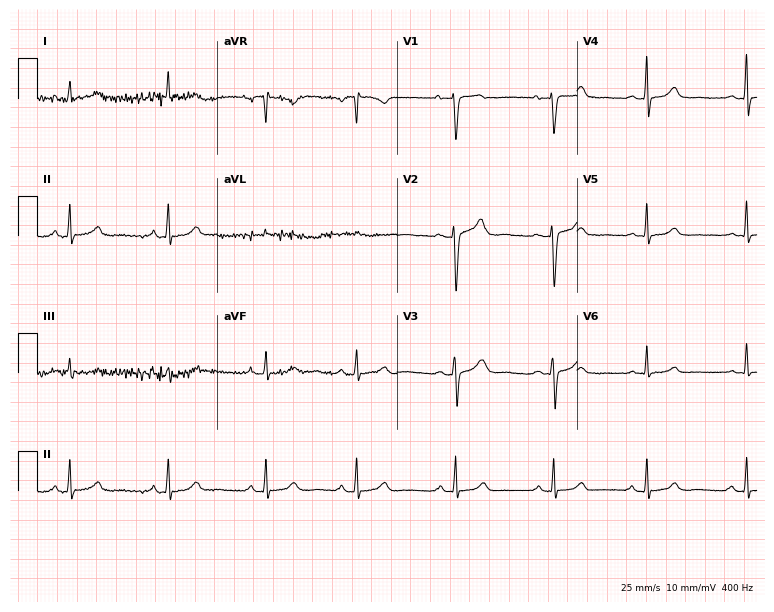
Resting 12-lead electrocardiogram (7.3-second recording at 400 Hz). Patient: a 43-year-old woman. None of these six findings is recorded: first-degree AV block, right bundle branch block, left bundle branch block, sinus bradycardia, atrial fibrillation, sinus tachycardia. Findings outside these six are not listed.